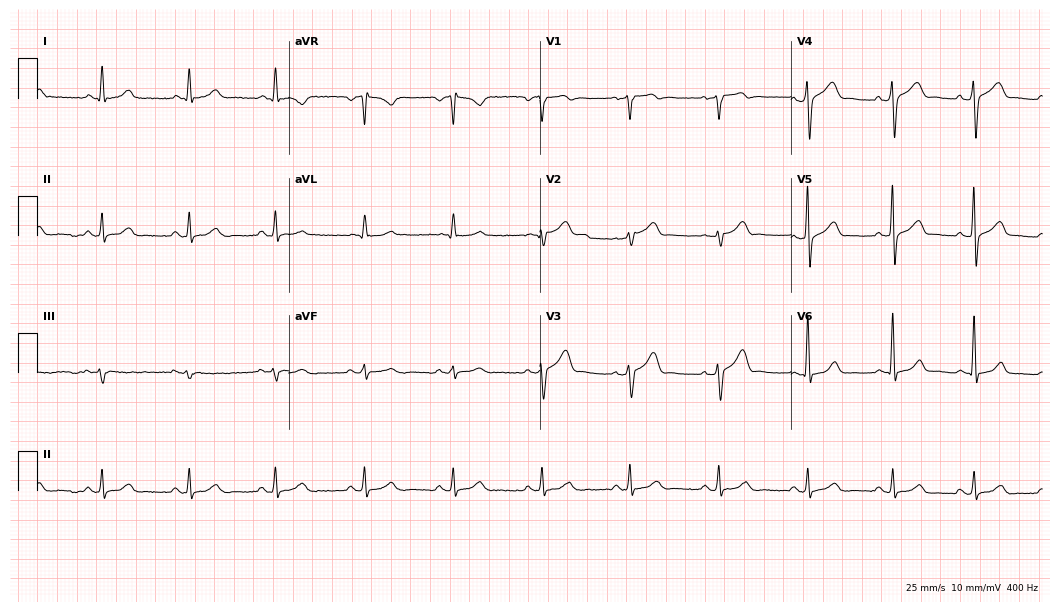
Resting 12-lead electrocardiogram. Patient: a male, 61 years old. Read as a normal ECG.